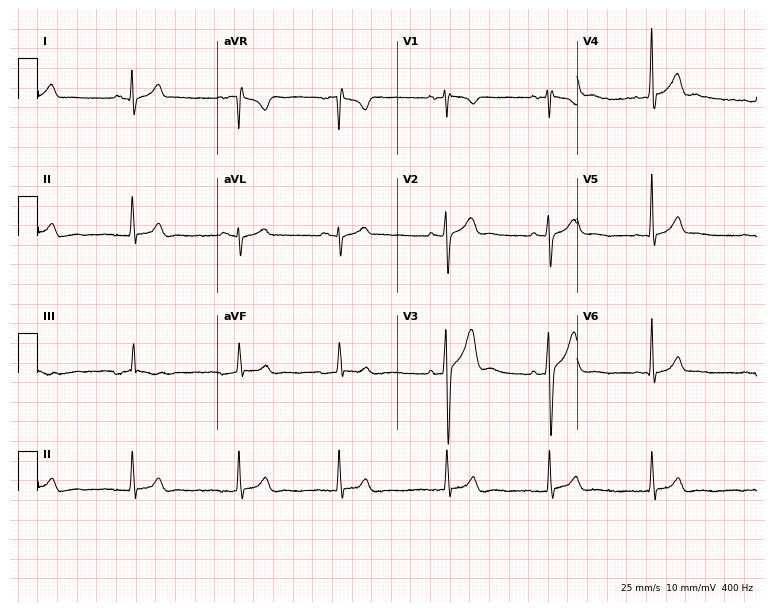
12-lead ECG from a man, 23 years old (7.3-second recording at 400 Hz). No first-degree AV block, right bundle branch block, left bundle branch block, sinus bradycardia, atrial fibrillation or sinus tachycardia recorded for this tracing. Only these six findings were labelled.